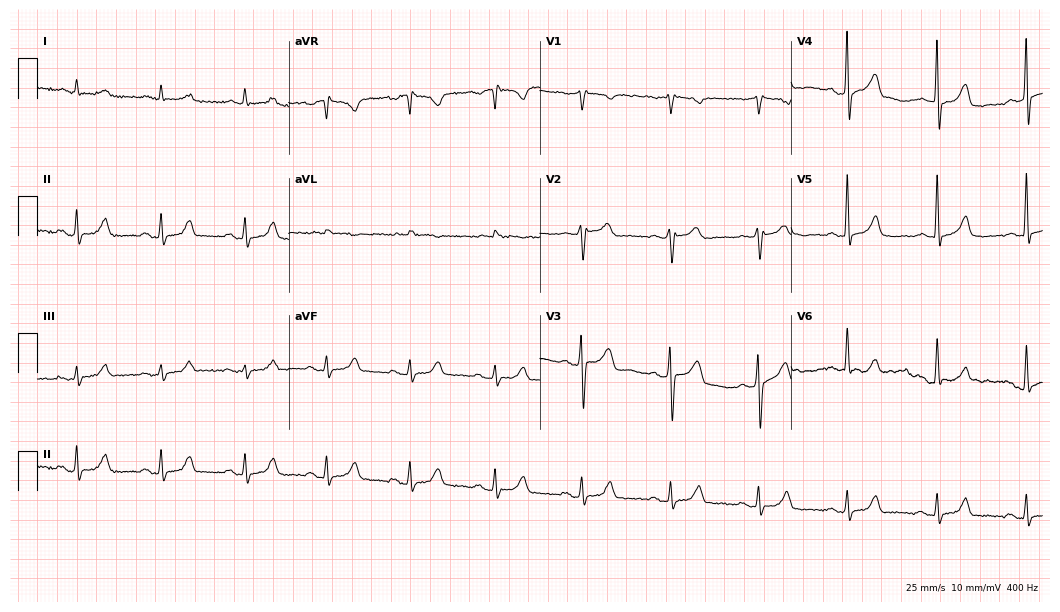
Standard 12-lead ECG recorded from a male patient, 58 years old (10.2-second recording at 400 Hz). Read as a normal ECG.